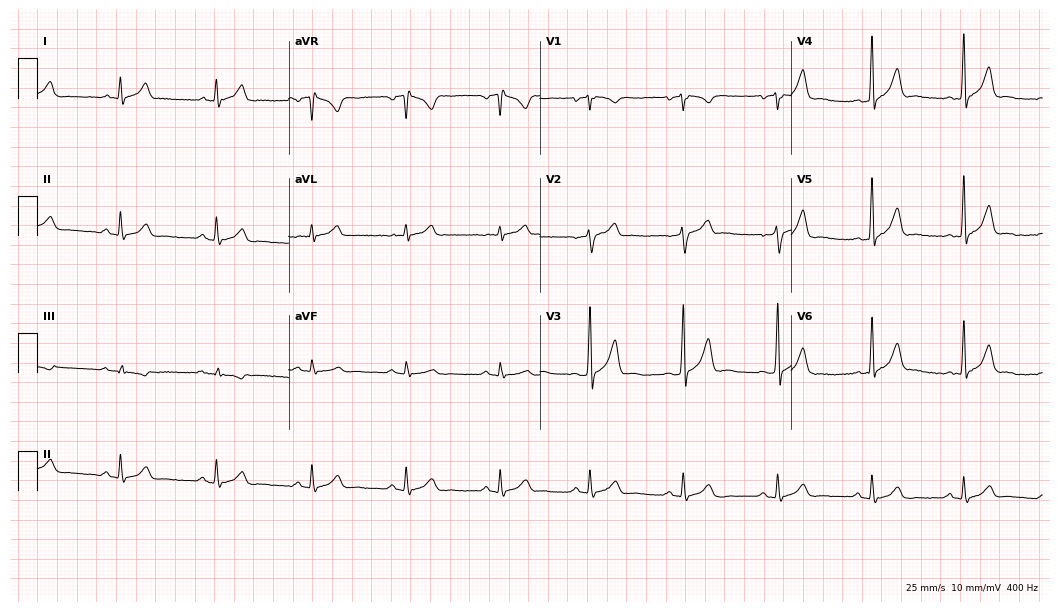
12-lead ECG from a 38-year-old male. Labelled as a normal ECG.